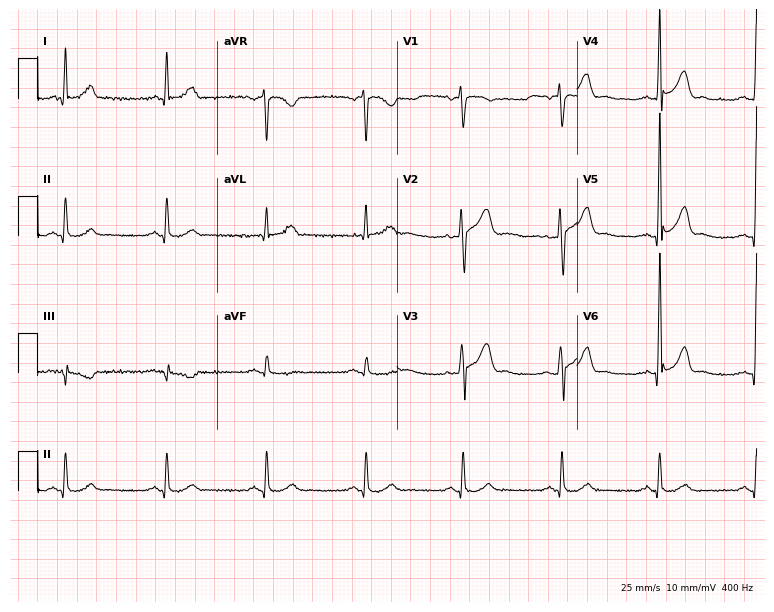
12-lead ECG (7.3-second recording at 400 Hz) from a male, 51 years old. Screened for six findings — first-degree AV block, right bundle branch block, left bundle branch block, sinus bradycardia, atrial fibrillation, sinus tachycardia — none is recorded. Findings outside these six are not listed.